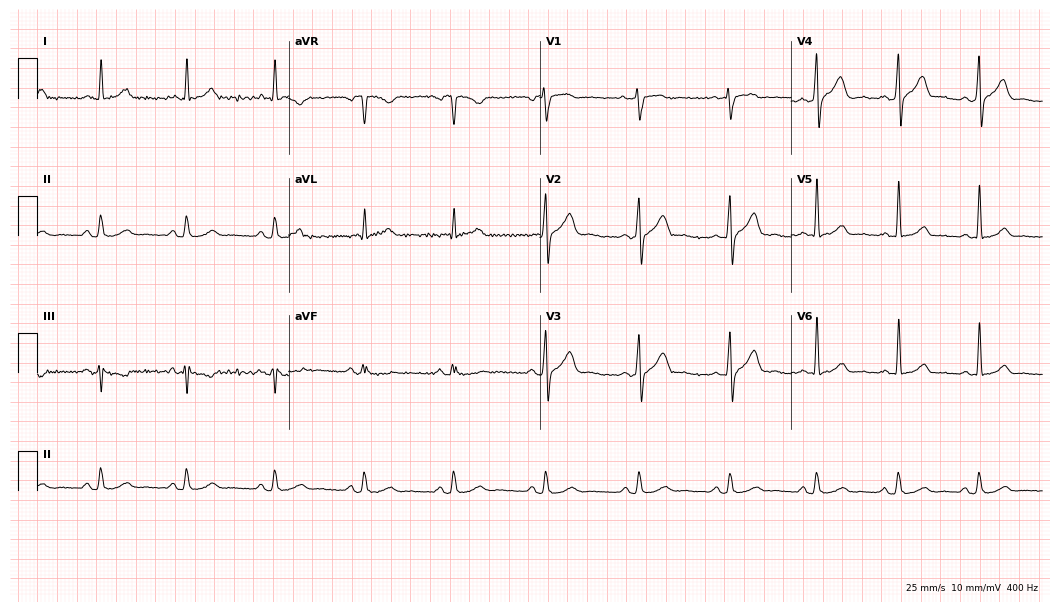
12-lead ECG from a 40-year-old man. Recorded interpretation: within normal limits.